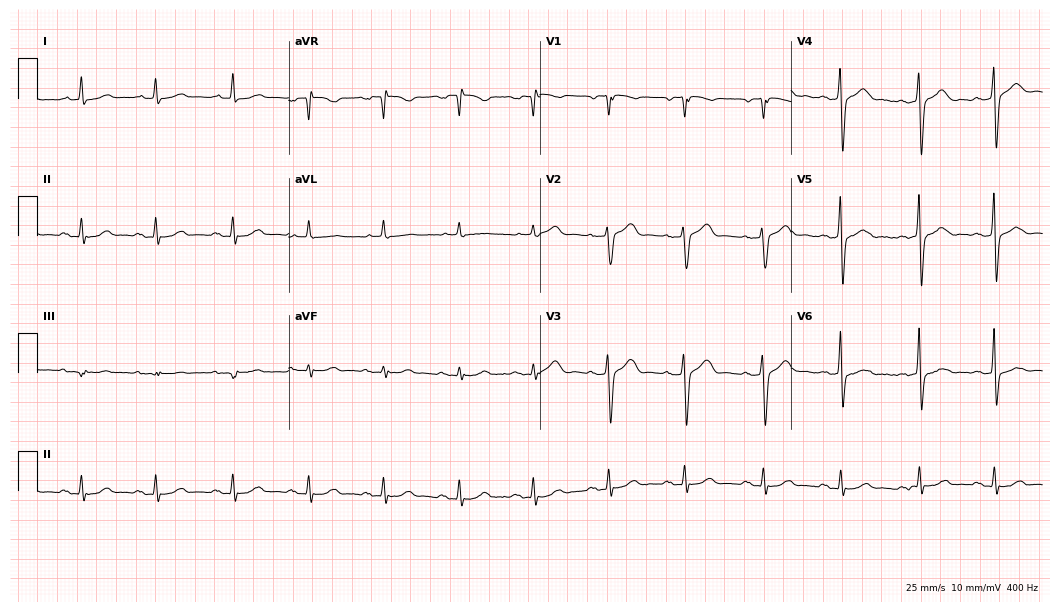
Electrocardiogram (10.2-second recording at 400 Hz), a male patient, 79 years old. Overall reading on record: normal ECG.